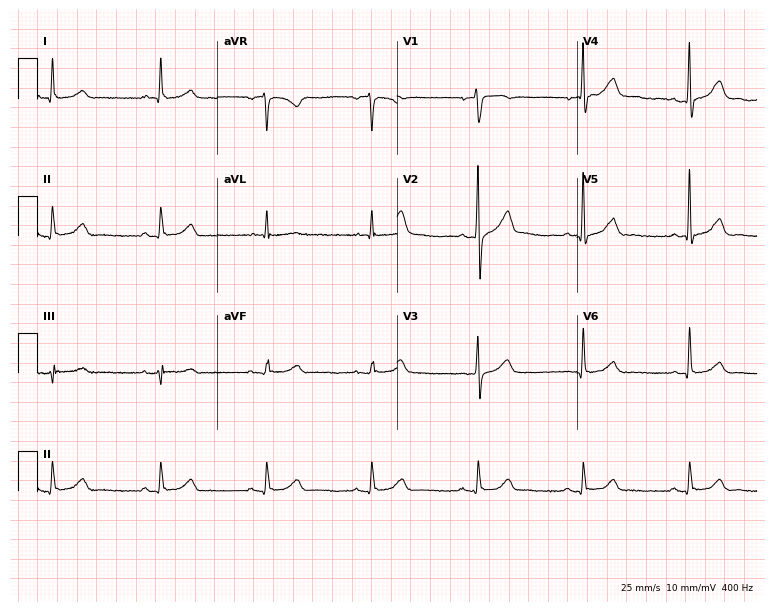
ECG (7.3-second recording at 400 Hz) — a 56-year-old man. Labelled as a normal ECG.